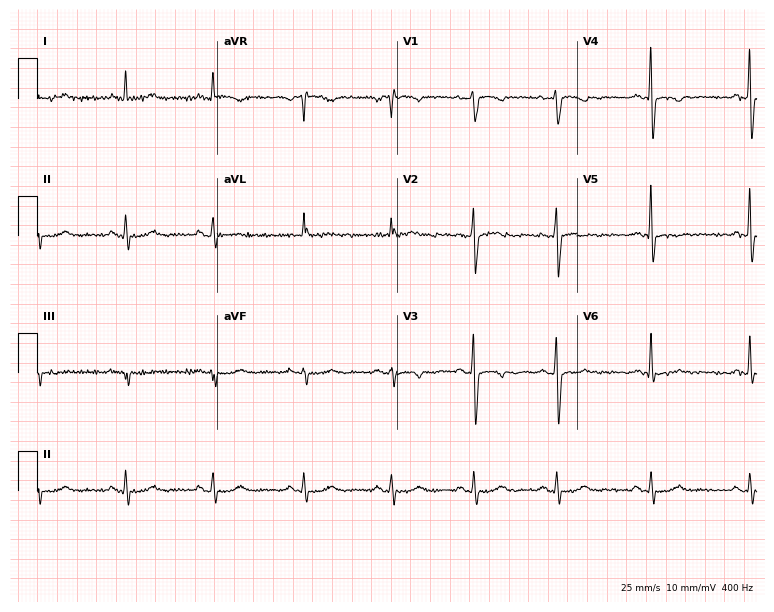
12-lead ECG (7.3-second recording at 400 Hz) from a female patient, 44 years old. Screened for six findings — first-degree AV block, right bundle branch block, left bundle branch block, sinus bradycardia, atrial fibrillation, sinus tachycardia — none is recorded.